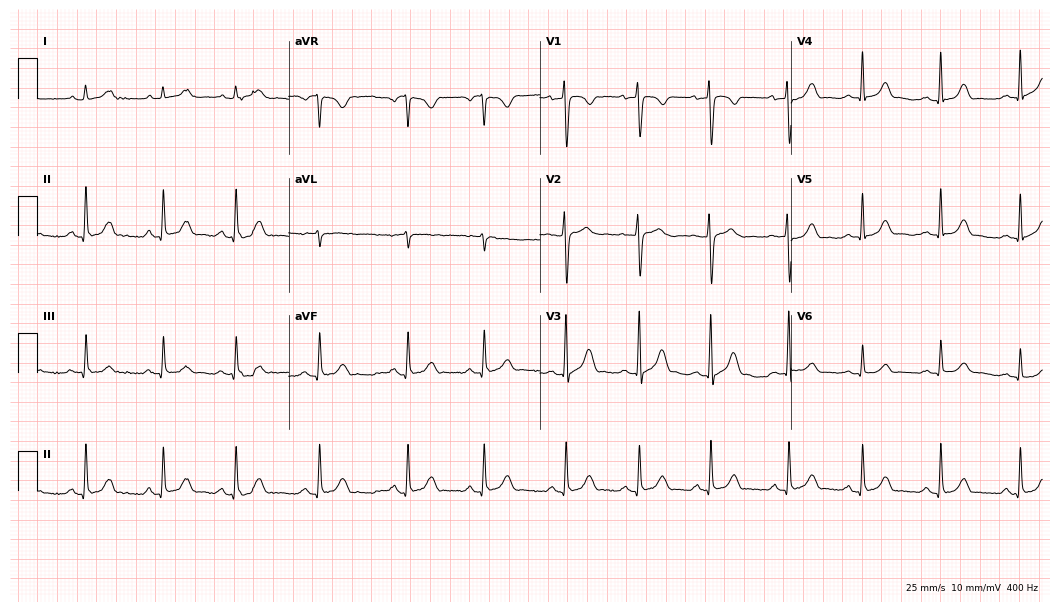
ECG (10.2-second recording at 400 Hz) — a woman, 18 years old. Screened for six findings — first-degree AV block, right bundle branch block, left bundle branch block, sinus bradycardia, atrial fibrillation, sinus tachycardia — none is recorded.